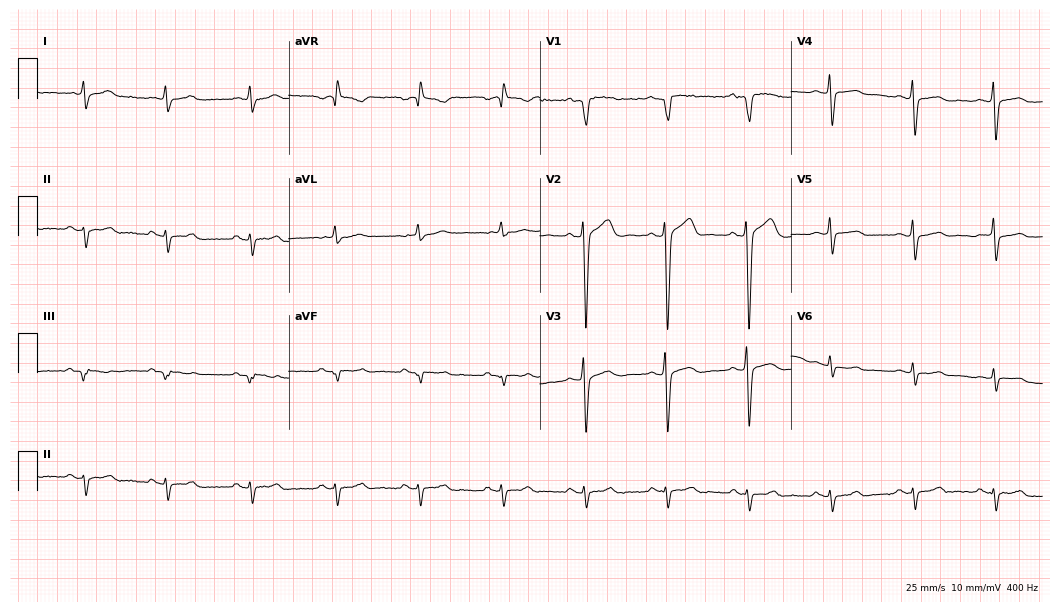
Resting 12-lead electrocardiogram. Patient: a 29-year-old male. None of these six findings is recorded: first-degree AV block, right bundle branch block, left bundle branch block, sinus bradycardia, atrial fibrillation, sinus tachycardia. Findings outside these six are not listed.